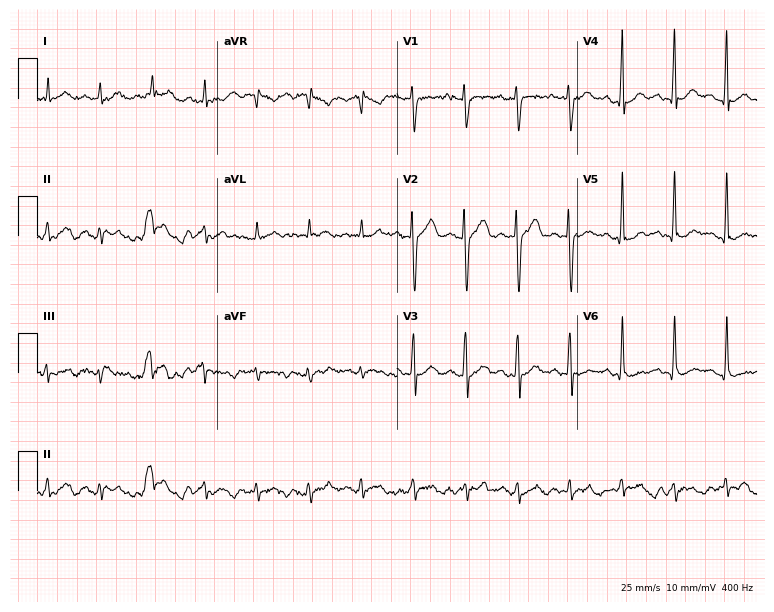
Standard 12-lead ECG recorded from a 30-year-old woman. The tracing shows sinus tachycardia (a sinus rate of 100 beats per minute or more).